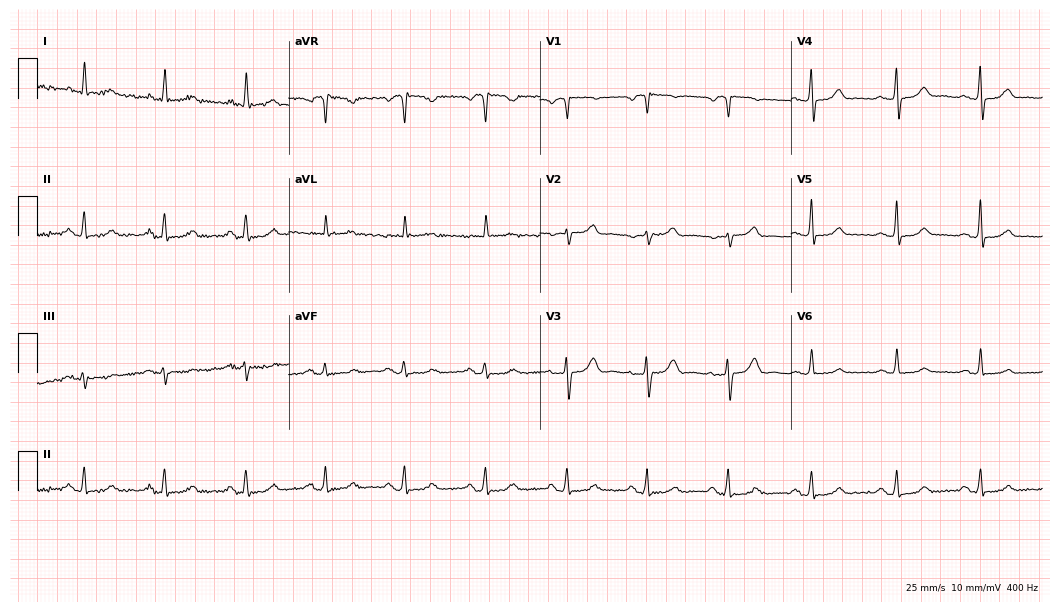
Standard 12-lead ECG recorded from a 68-year-old female patient (10.2-second recording at 400 Hz). Read as a normal ECG.